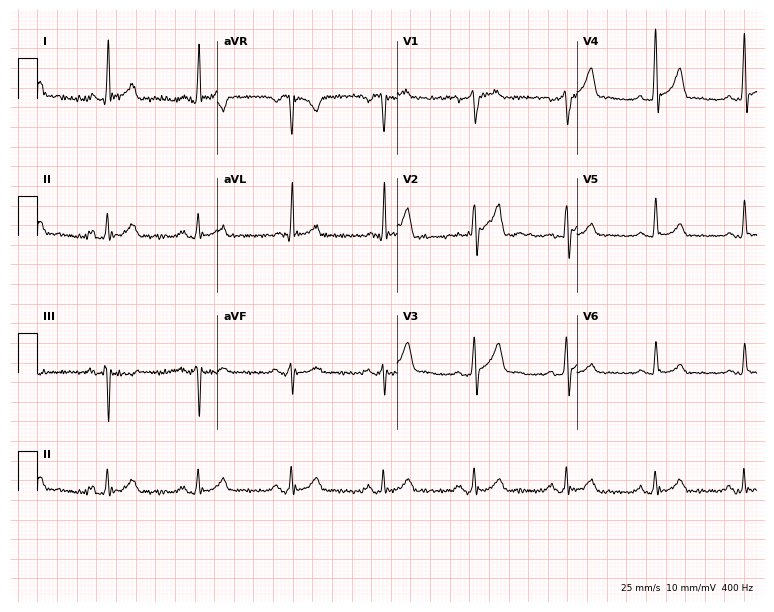
12-lead ECG from a 56-year-old man. Screened for six findings — first-degree AV block, right bundle branch block, left bundle branch block, sinus bradycardia, atrial fibrillation, sinus tachycardia — none is recorded. Only these six findings were labelled.